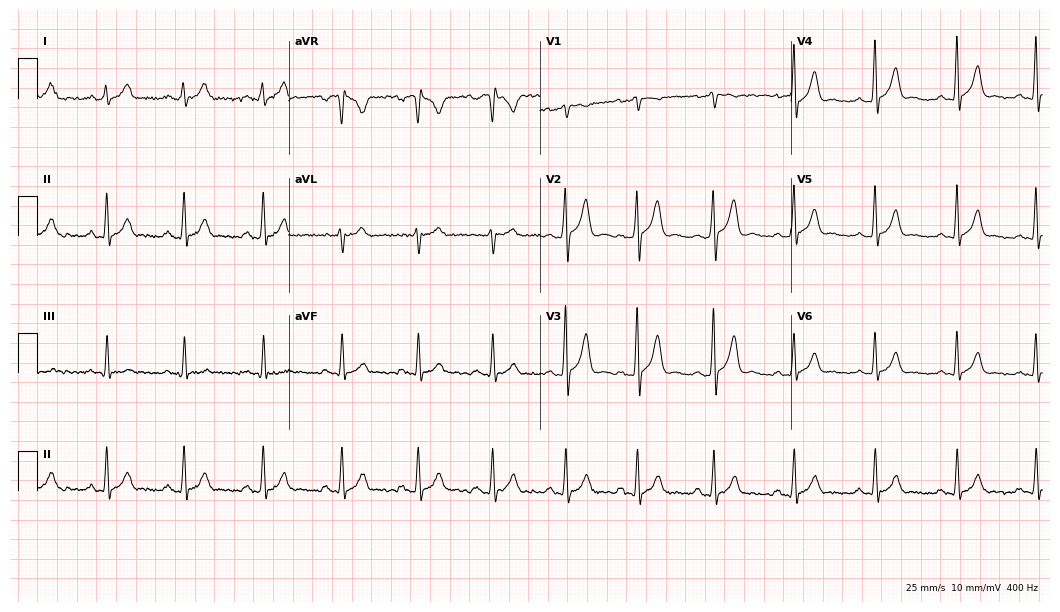
ECG — a male, 18 years old. Labelled as a normal ECG.